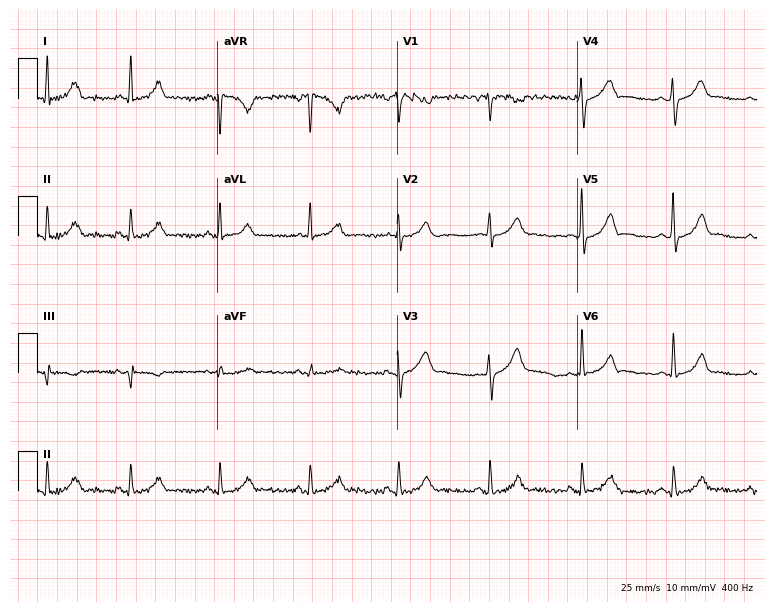
Resting 12-lead electrocardiogram. Patient: a 35-year-old woman. Read as a normal ECG.